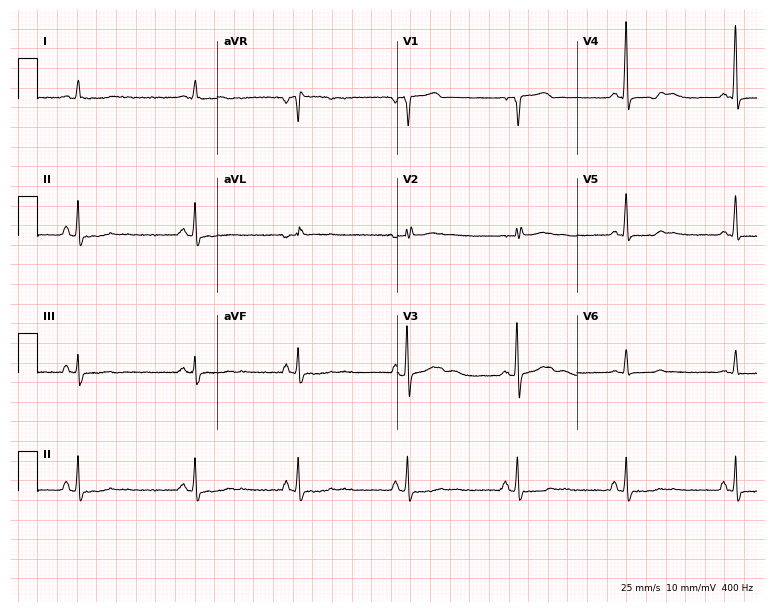
Resting 12-lead electrocardiogram. Patient: a male, 55 years old. None of these six findings is recorded: first-degree AV block, right bundle branch block, left bundle branch block, sinus bradycardia, atrial fibrillation, sinus tachycardia.